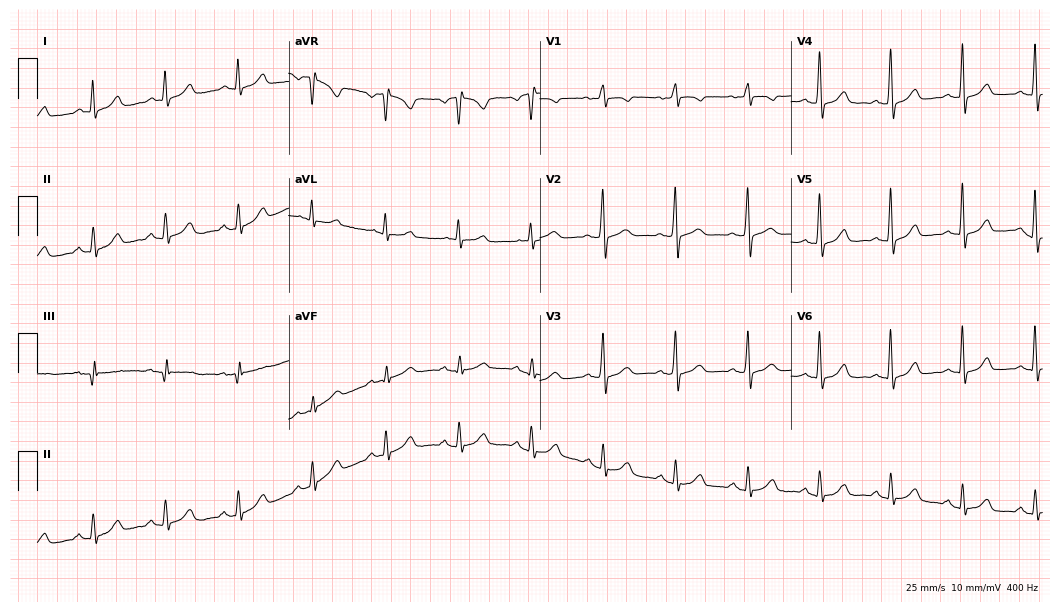
12-lead ECG from a female, 70 years old (10.2-second recording at 400 Hz). Recorded interpretation: within normal limits.